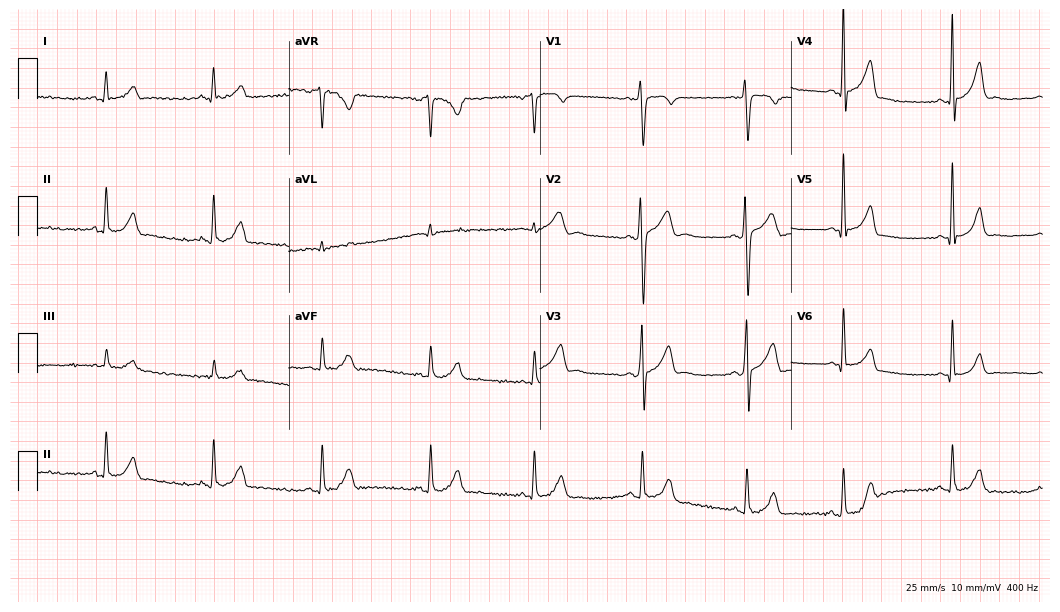
Electrocardiogram (10.2-second recording at 400 Hz), an 18-year-old male. Overall reading on record: normal ECG.